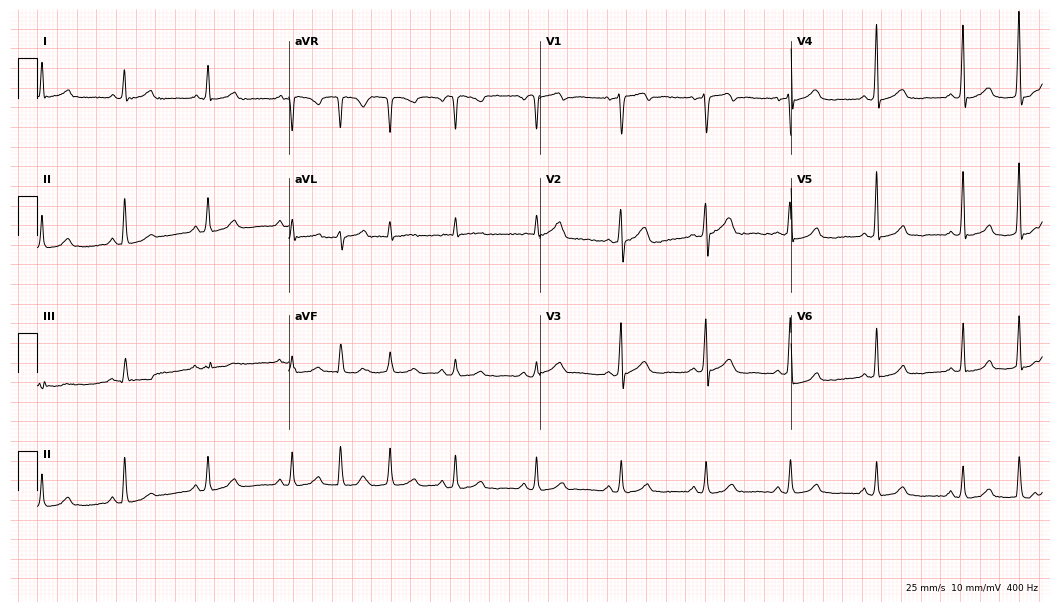
Resting 12-lead electrocardiogram (10.2-second recording at 400 Hz). Patient: a woman, 67 years old. None of these six findings is recorded: first-degree AV block, right bundle branch block, left bundle branch block, sinus bradycardia, atrial fibrillation, sinus tachycardia.